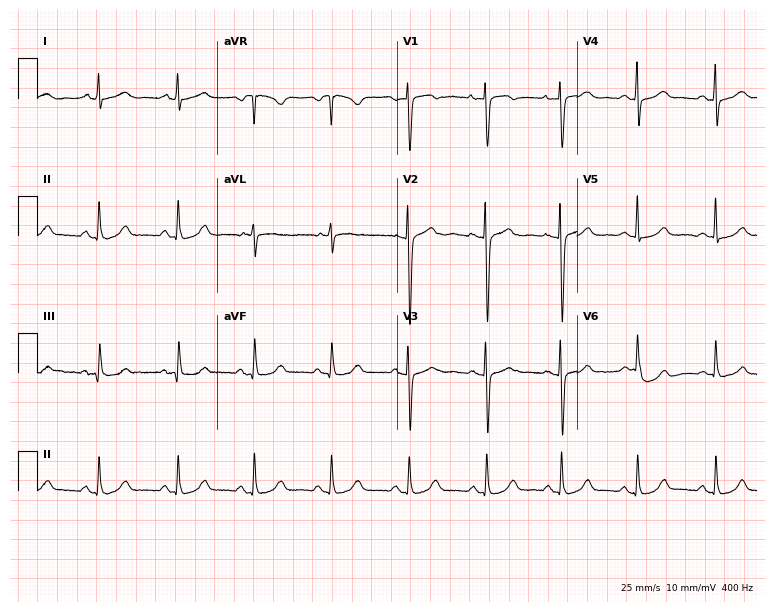
12-lead ECG from a 41-year-old female patient (7.3-second recording at 400 Hz). No first-degree AV block, right bundle branch block, left bundle branch block, sinus bradycardia, atrial fibrillation or sinus tachycardia recorded for this tracing.